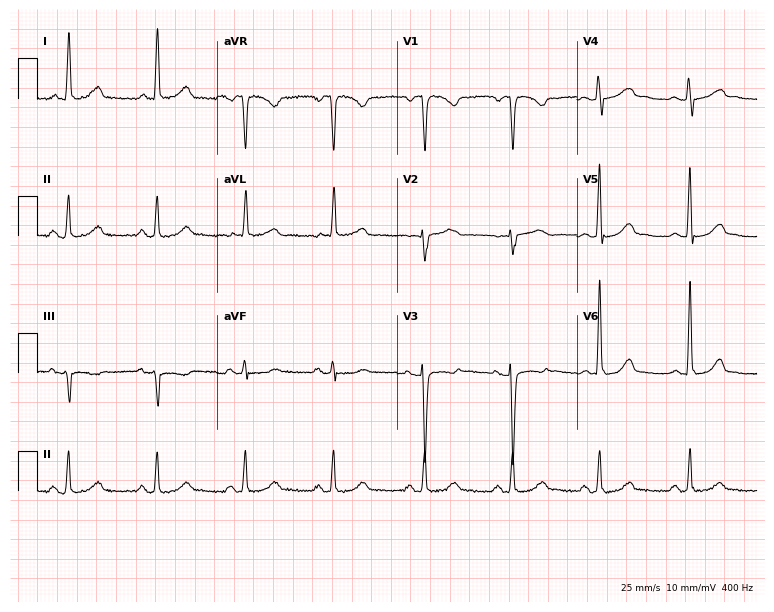
12-lead ECG from a female, 37 years old (7.3-second recording at 400 Hz). No first-degree AV block, right bundle branch block (RBBB), left bundle branch block (LBBB), sinus bradycardia, atrial fibrillation (AF) or sinus tachycardia recorded for this tracing.